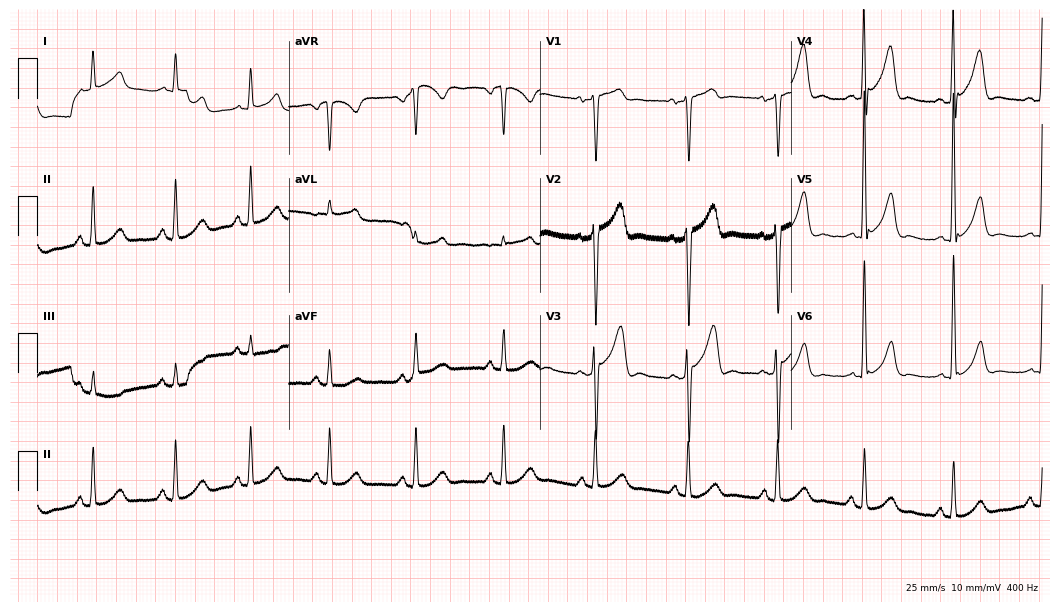
Resting 12-lead electrocardiogram. Patient: a male, 59 years old. None of these six findings is recorded: first-degree AV block, right bundle branch block, left bundle branch block, sinus bradycardia, atrial fibrillation, sinus tachycardia.